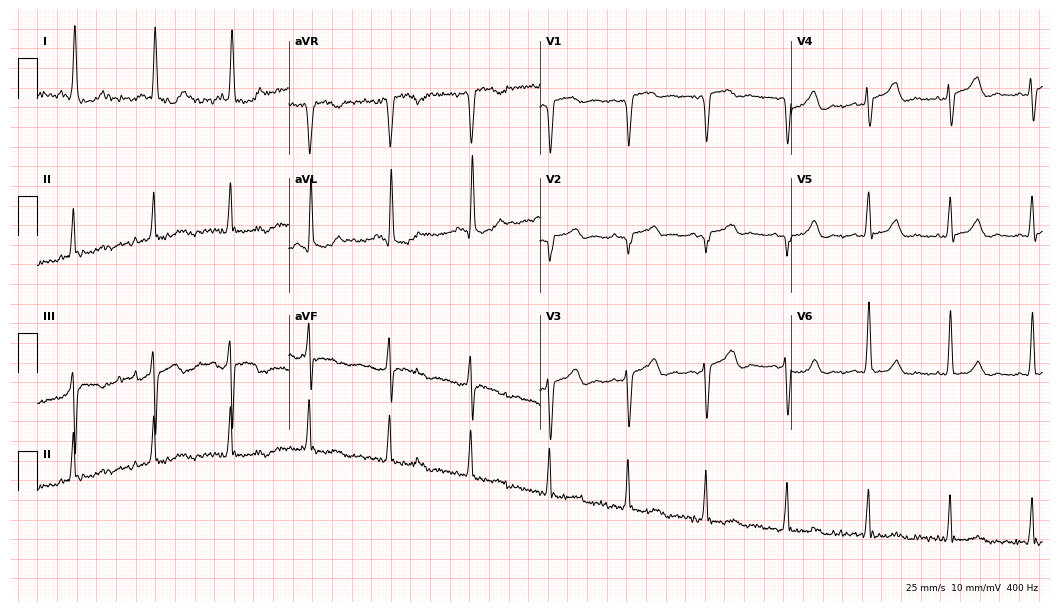
ECG (10.2-second recording at 400 Hz) — a 68-year-old female patient. Screened for six findings — first-degree AV block, right bundle branch block, left bundle branch block, sinus bradycardia, atrial fibrillation, sinus tachycardia — none is recorded. Only these six findings were labelled.